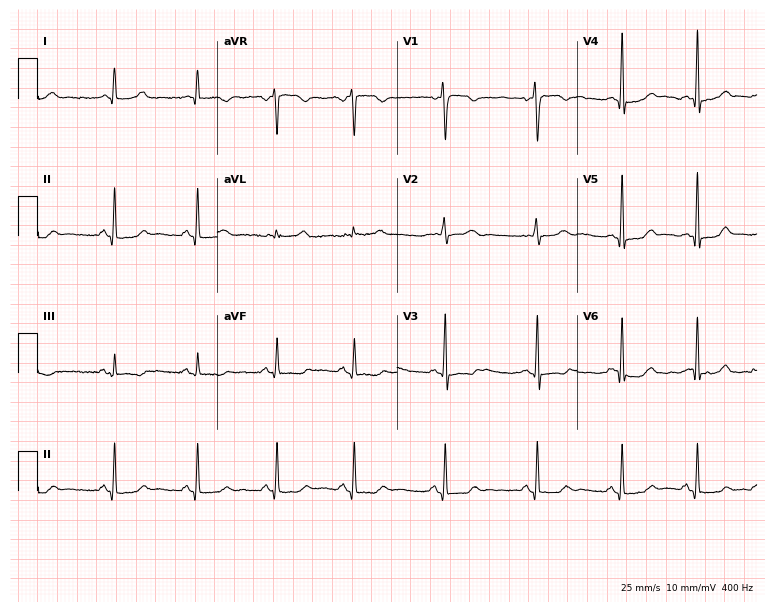
12-lead ECG from an 18-year-old female. Recorded interpretation: within normal limits.